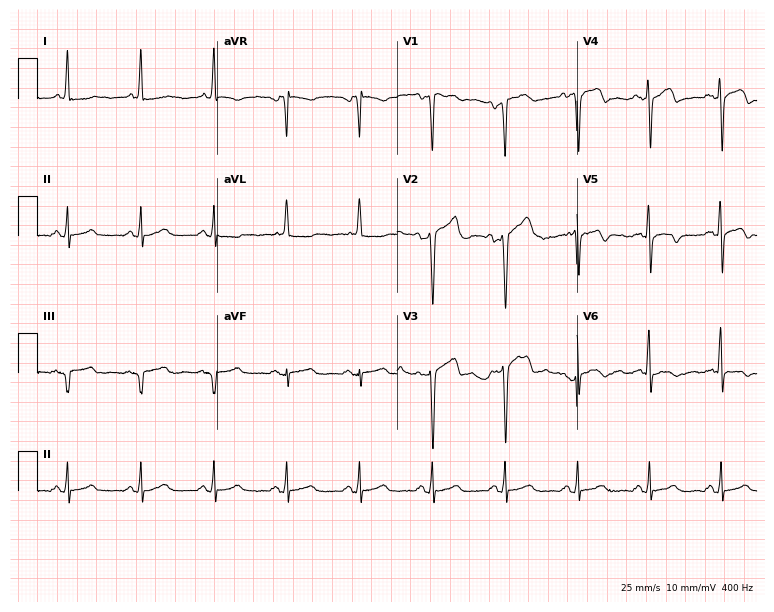
12-lead ECG (7.3-second recording at 400 Hz) from a 66-year-old man. Screened for six findings — first-degree AV block, right bundle branch block, left bundle branch block, sinus bradycardia, atrial fibrillation, sinus tachycardia — none is recorded.